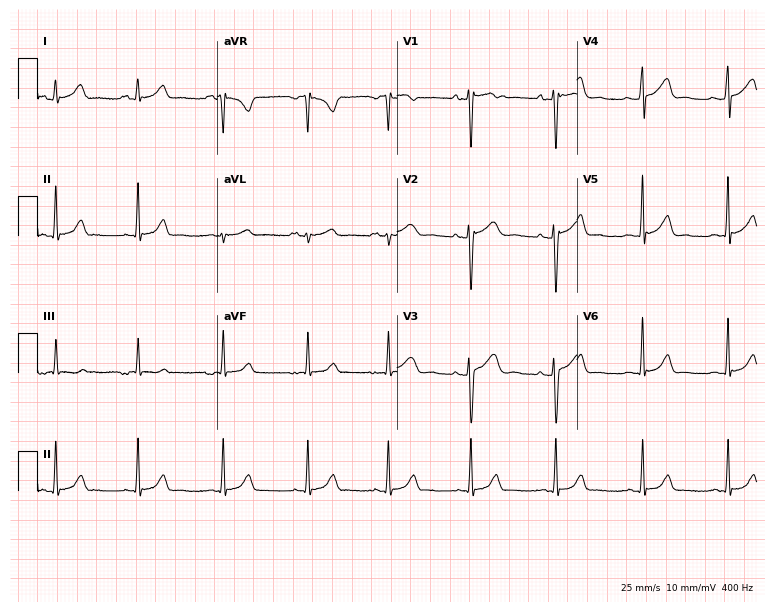
12-lead ECG from a female, 30 years old (7.3-second recording at 400 Hz). No first-degree AV block, right bundle branch block (RBBB), left bundle branch block (LBBB), sinus bradycardia, atrial fibrillation (AF) or sinus tachycardia recorded for this tracing.